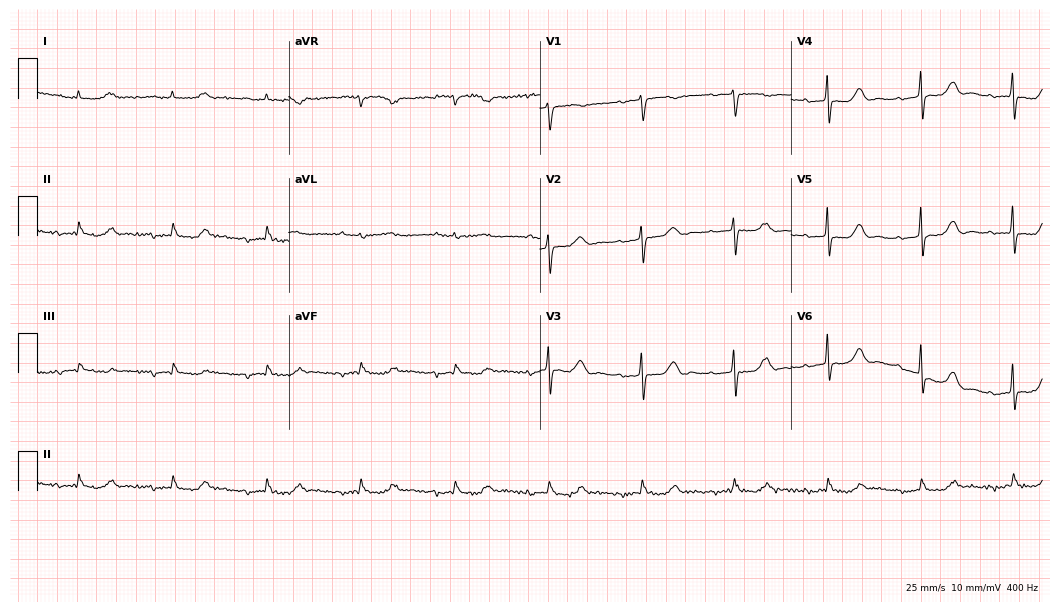
Resting 12-lead electrocardiogram. Patient: a man, 75 years old. The tracing shows first-degree AV block.